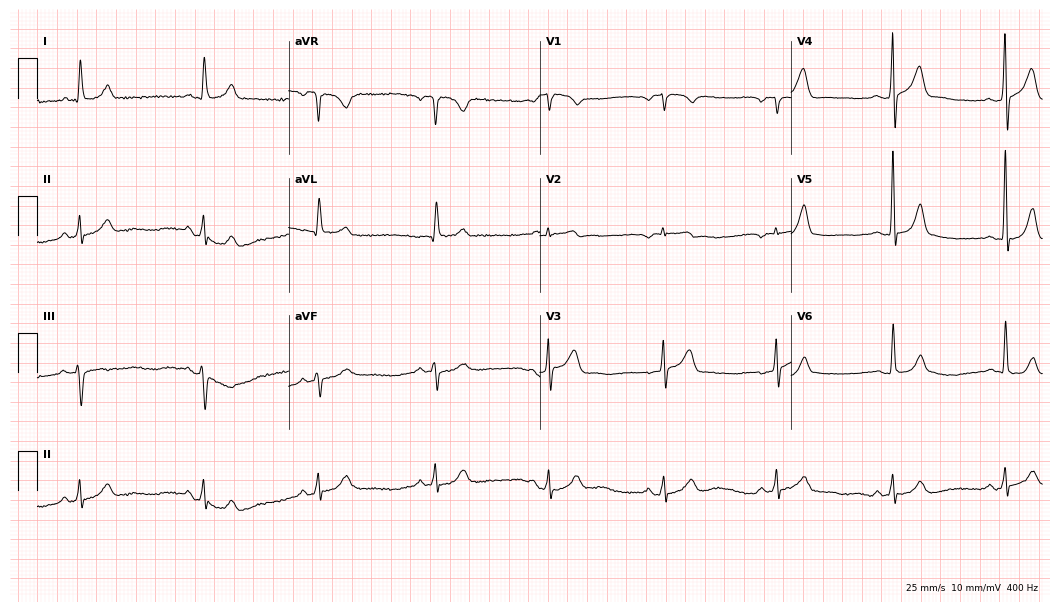
Resting 12-lead electrocardiogram (10.2-second recording at 400 Hz). Patient: a 77-year-old male. Read as a normal ECG.